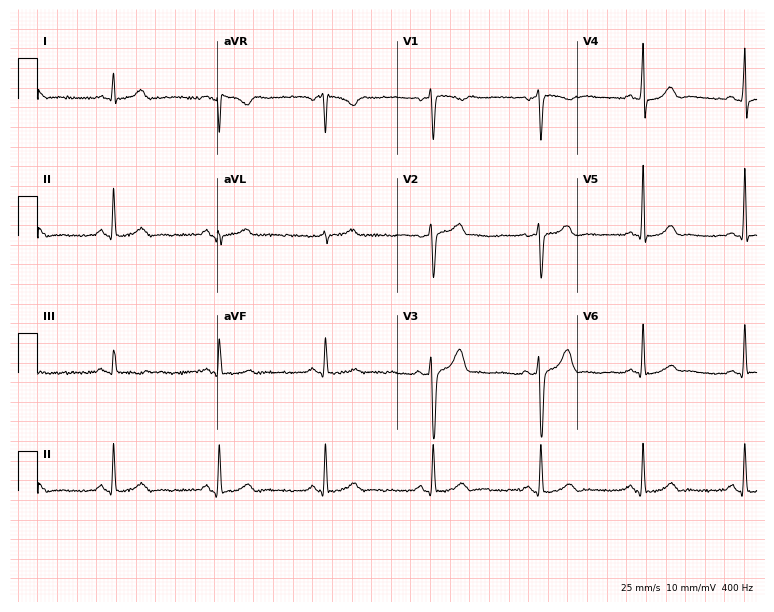
Electrocardiogram (7.3-second recording at 400 Hz), a 42-year-old male. Of the six screened findings (first-degree AV block, right bundle branch block (RBBB), left bundle branch block (LBBB), sinus bradycardia, atrial fibrillation (AF), sinus tachycardia), none is recorded.